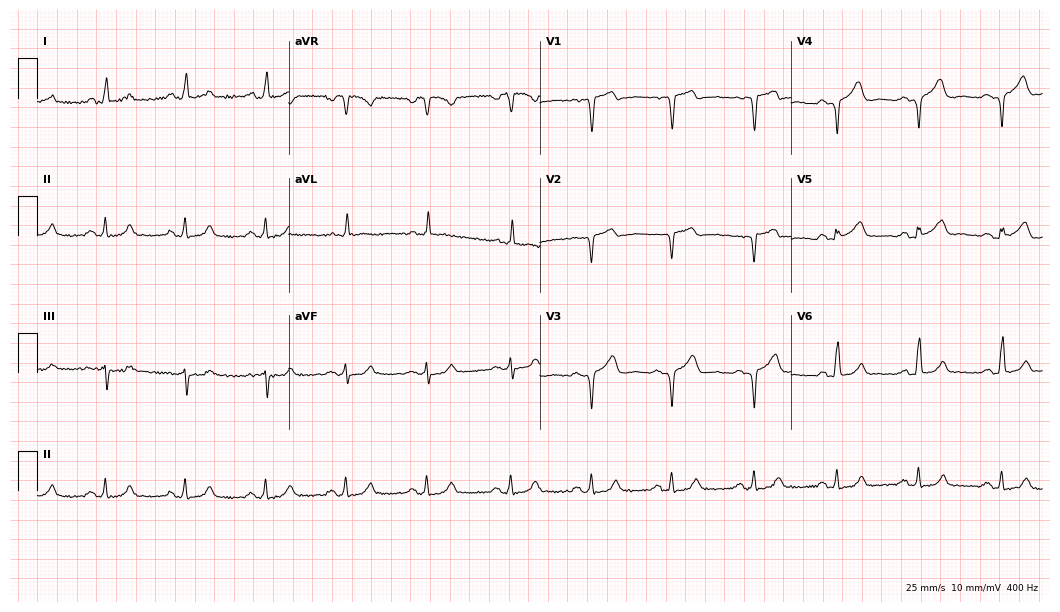
Electrocardiogram (10.2-second recording at 400 Hz), a male patient, 59 years old. Of the six screened findings (first-degree AV block, right bundle branch block (RBBB), left bundle branch block (LBBB), sinus bradycardia, atrial fibrillation (AF), sinus tachycardia), none is recorded.